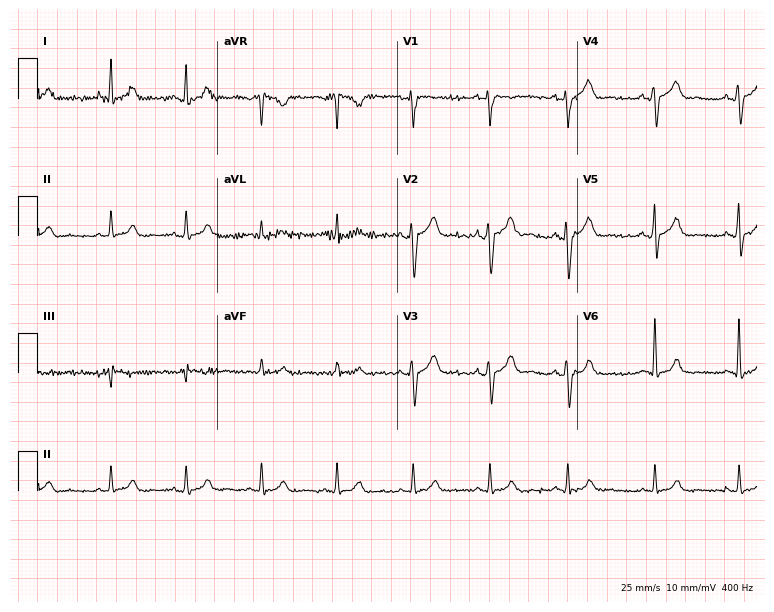
Resting 12-lead electrocardiogram (7.3-second recording at 400 Hz). Patient: a male, 38 years old. Read as a normal ECG.